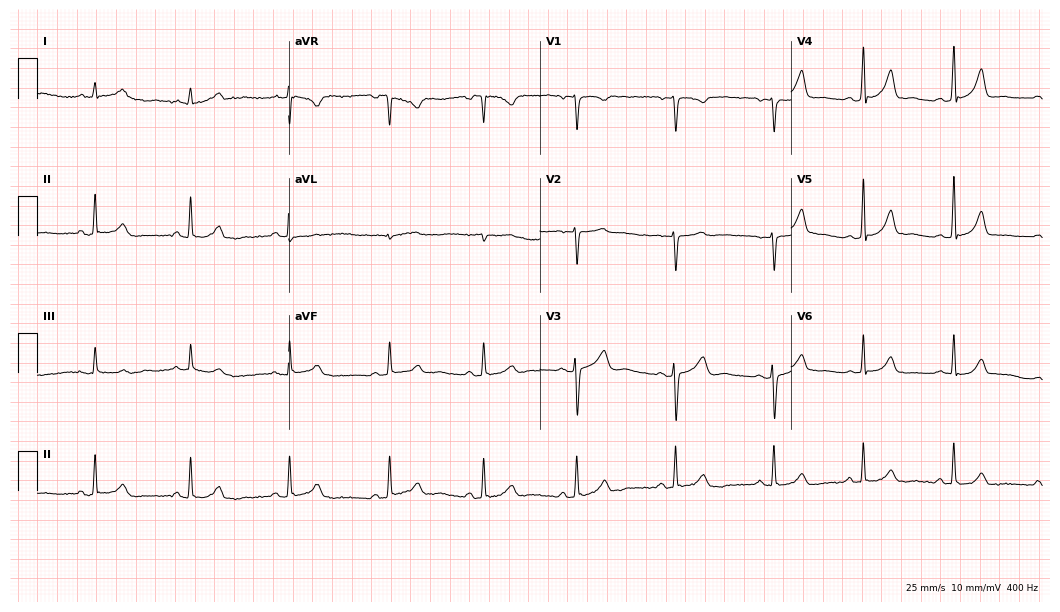
12-lead ECG from a 46-year-old female. Labelled as a normal ECG.